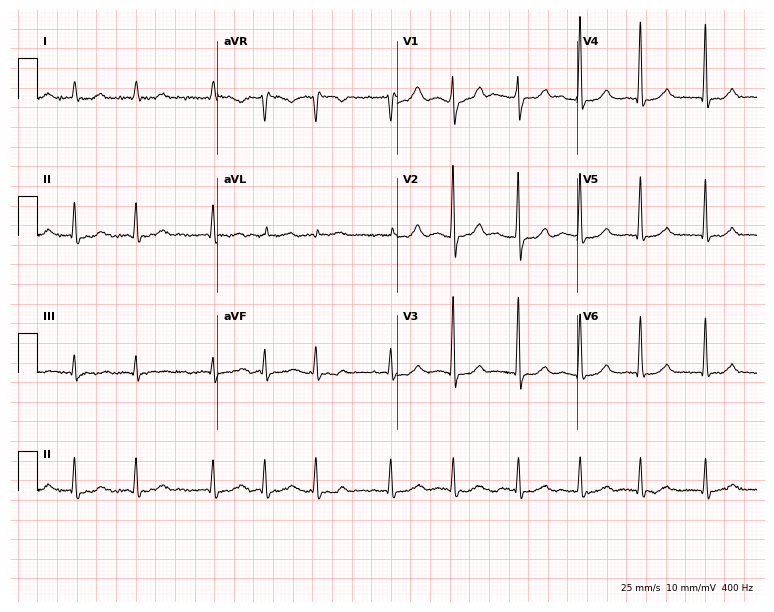
Resting 12-lead electrocardiogram. Patient: a woman, 74 years old. The tracing shows atrial fibrillation (AF).